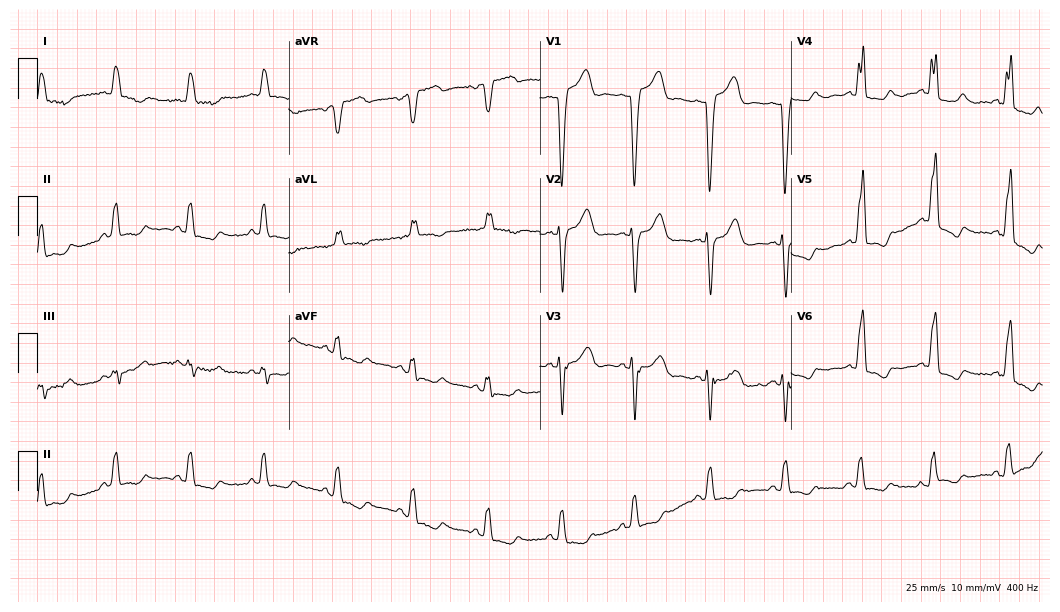
12-lead ECG from a female, 72 years old (10.2-second recording at 400 Hz). Shows left bundle branch block.